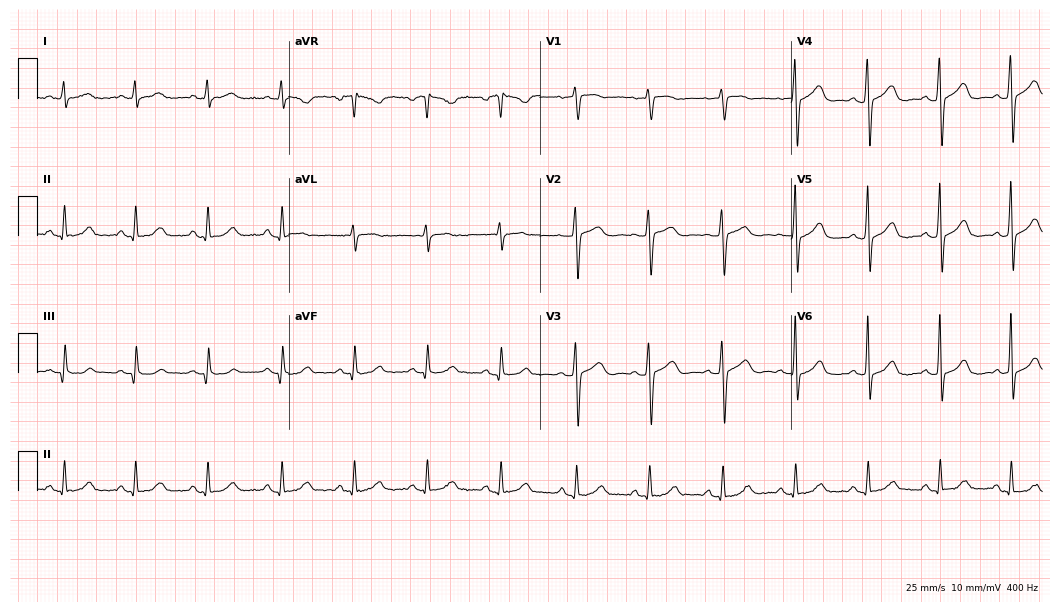
12-lead ECG from a 58-year-old female. Recorded interpretation: within normal limits.